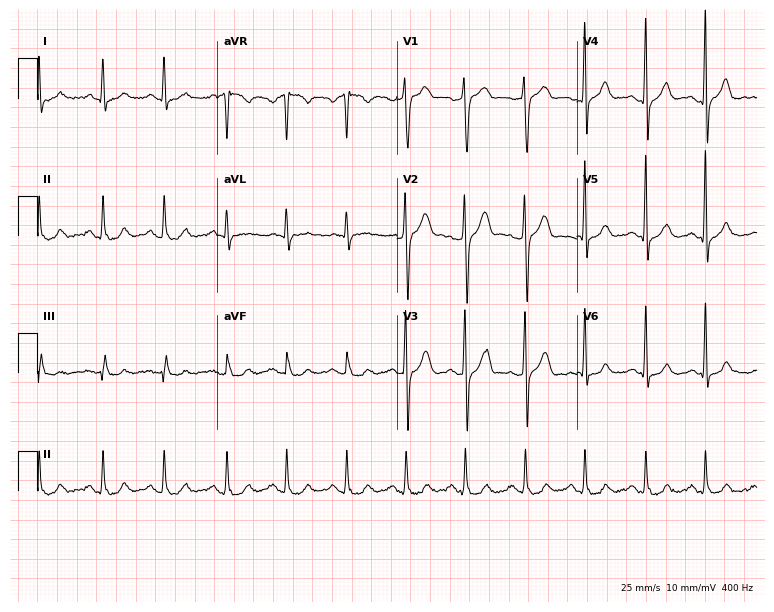
Resting 12-lead electrocardiogram. Patient: a male, 49 years old. Read as a normal ECG.